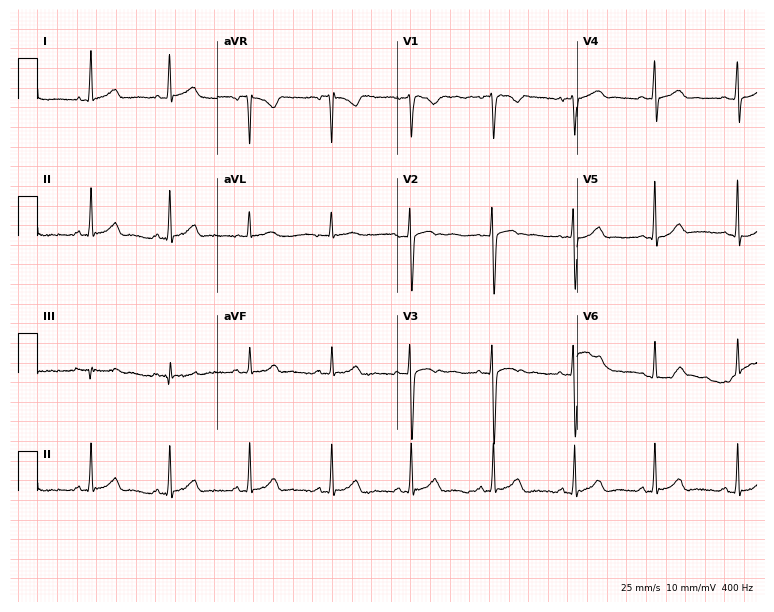
12-lead ECG from a female patient, 21 years old. Labelled as a normal ECG.